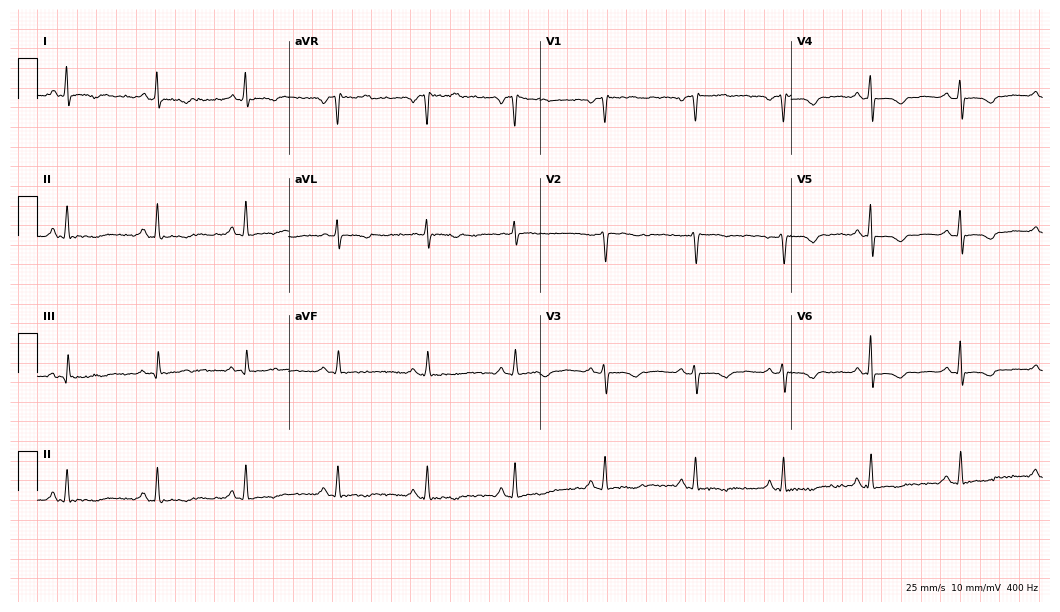
Standard 12-lead ECG recorded from a female patient, 52 years old (10.2-second recording at 400 Hz). None of these six findings is recorded: first-degree AV block, right bundle branch block, left bundle branch block, sinus bradycardia, atrial fibrillation, sinus tachycardia.